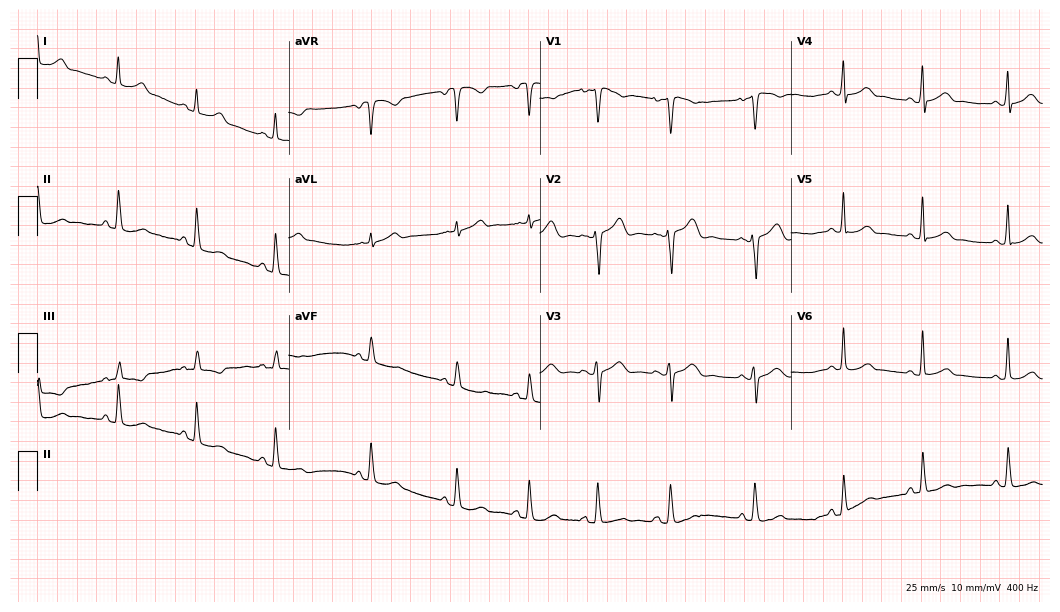
Electrocardiogram, a woman, 24 years old. Overall reading on record: normal ECG.